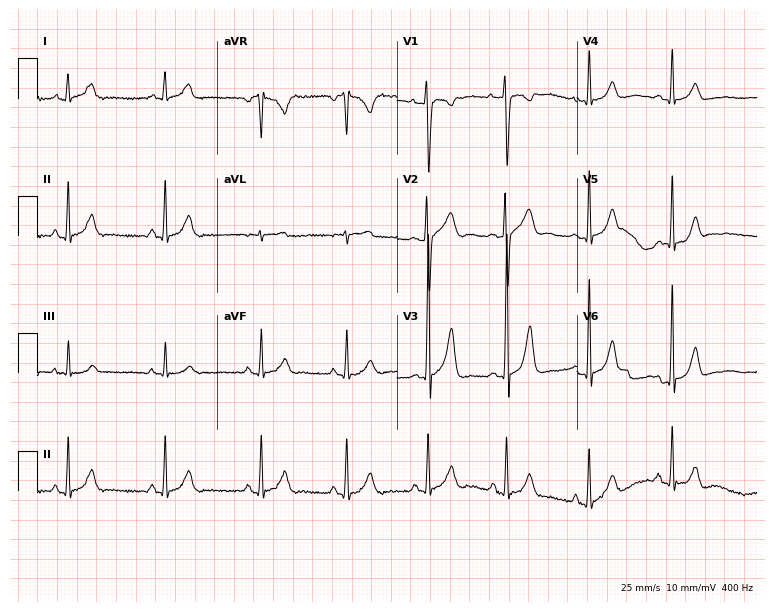
12-lead ECG from a male patient, 17 years old (7.3-second recording at 400 Hz). Recorded interpretation: within normal limits.